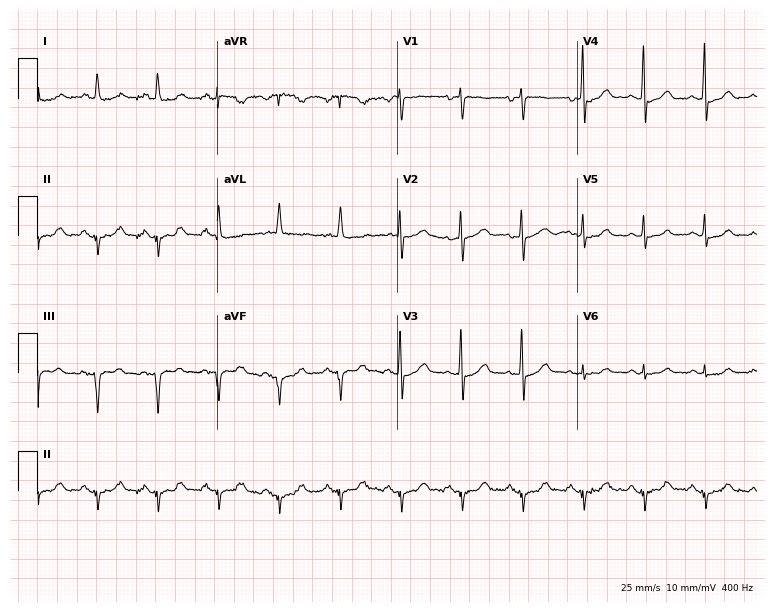
Standard 12-lead ECG recorded from an 81-year-old female. None of these six findings is recorded: first-degree AV block, right bundle branch block, left bundle branch block, sinus bradycardia, atrial fibrillation, sinus tachycardia. Other findings, if any, are not listed.